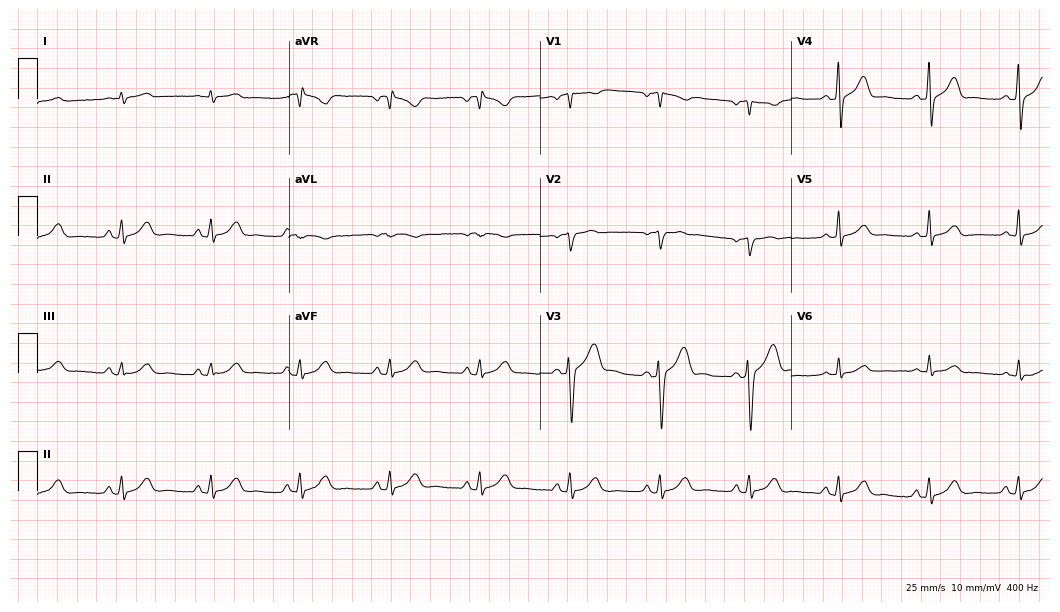
Standard 12-lead ECG recorded from a 70-year-old male. Read as a normal ECG.